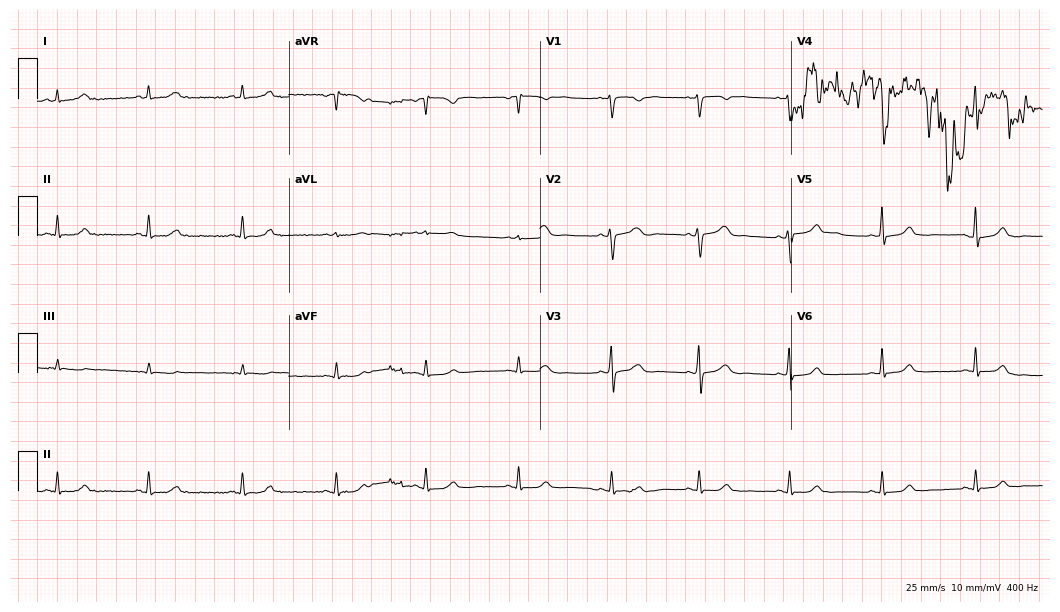
12-lead ECG from a female, 37 years old (10.2-second recording at 400 Hz). No first-degree AV block, right bundle branch block, left bundle branch block, sinus bradycardia, atrial fibrillation or sinus tachycardia recorded for this tracing.